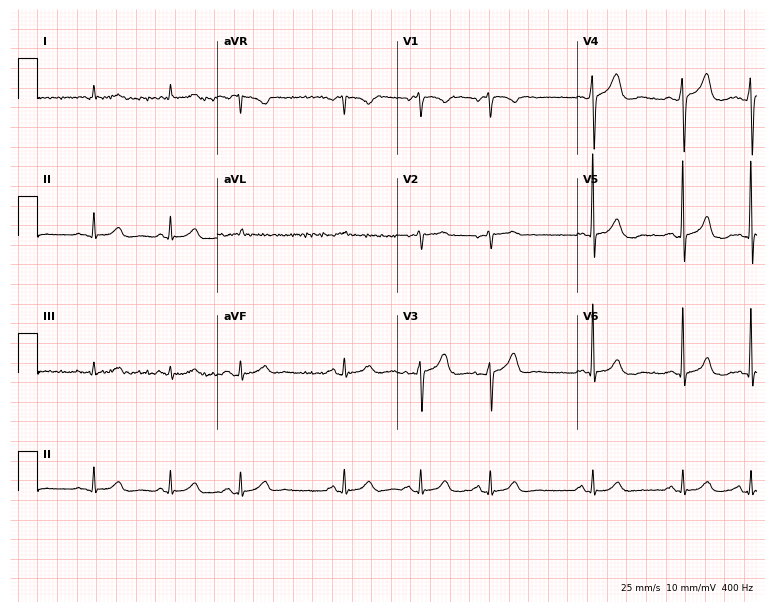
Electrocardiogram, an 80-year-old woman. Overall reading on record: normal ECG.